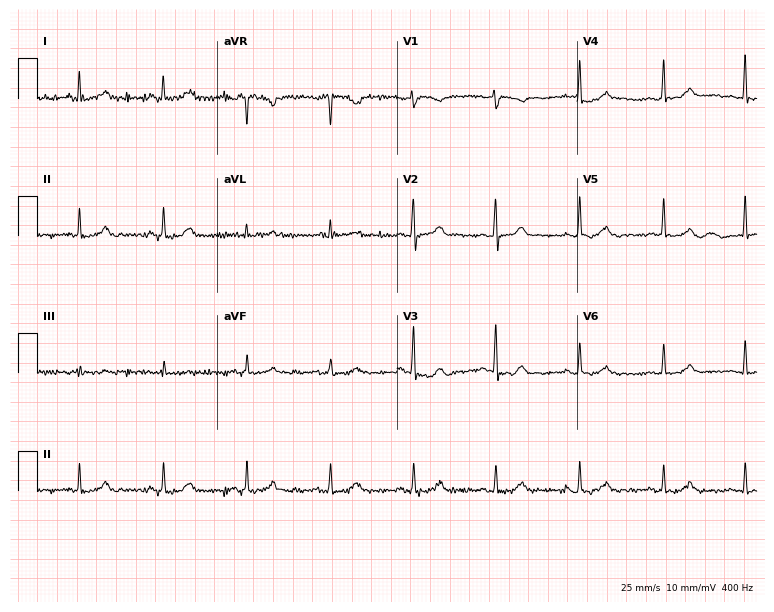
Resting 12-lead electrocardiogram. Patient: a female, 49 years old. Read as a normal ECG.